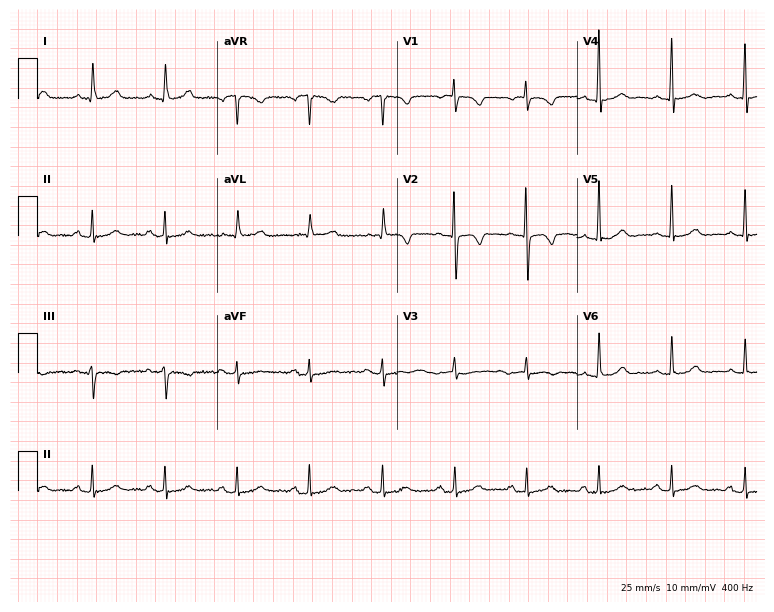
12-lead ECG from a 75-year-old female patient. Labelled as a normal ECG.